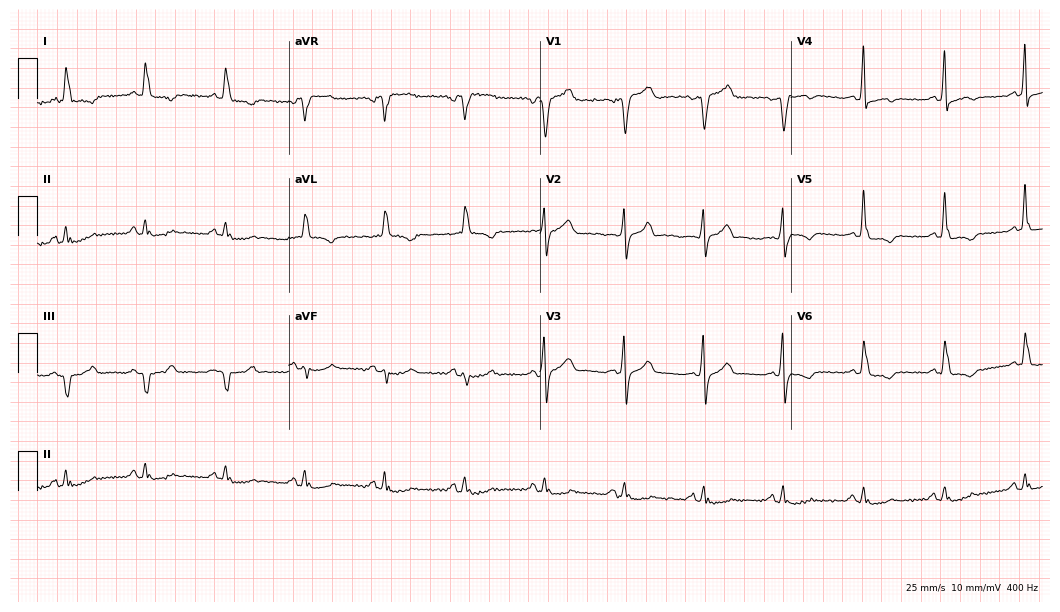
12-lead ECG (10.2-second recording at 400 Hz) from a male patient, 59 years old. Screened for six findings — first-degree AV block, right bundle branch block, left bundle branch block, sinus bradycardia, atrial fibrillation, sinus tachycardia — none is recorded.